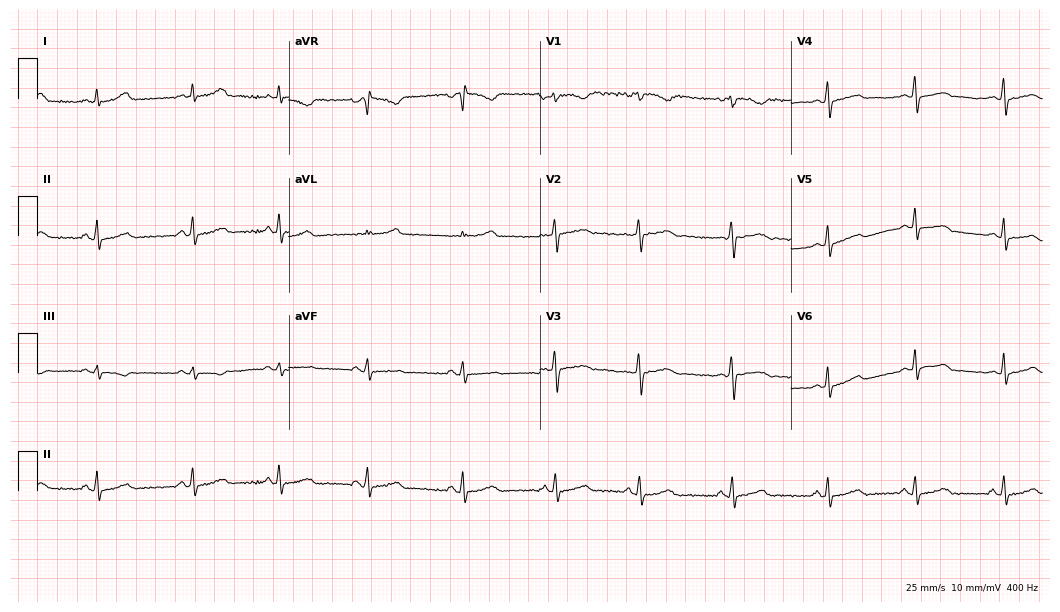
Standard 12-lead ECG recorded from a 22-year-old woman. None of these six findings is recorded: first-degree AV block, right bundle branch block (RBBB), left bundle branch block (LBBB), sinus bradycardia, atrial fibrillation (AF), sinus tachycardia. Only these six findings were labelled.